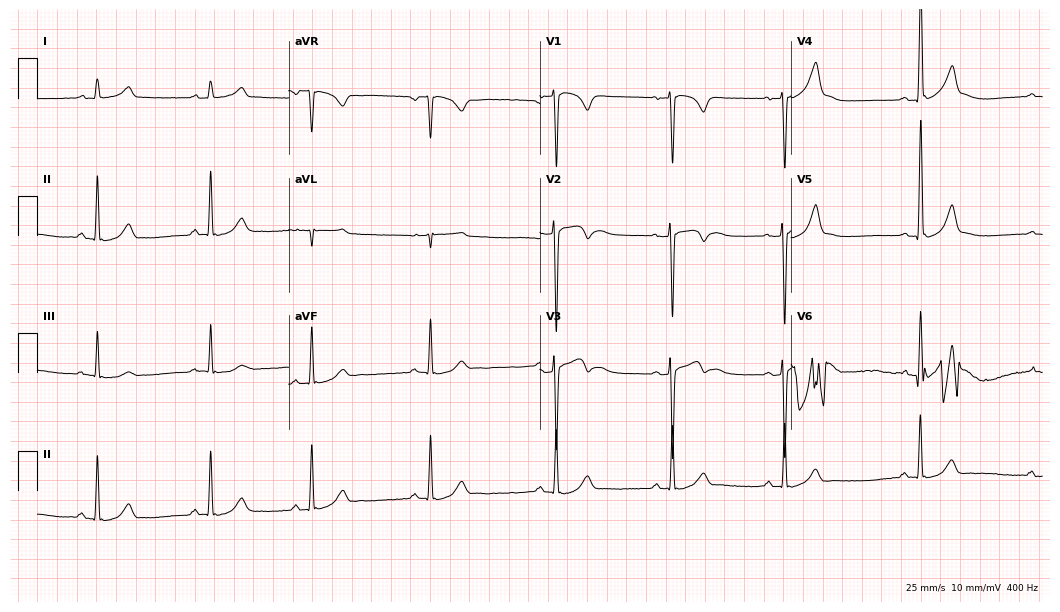
ECG (10.2-second recording at 400 Hz) — a 20-year-old male. Labelled as a normal ECG.